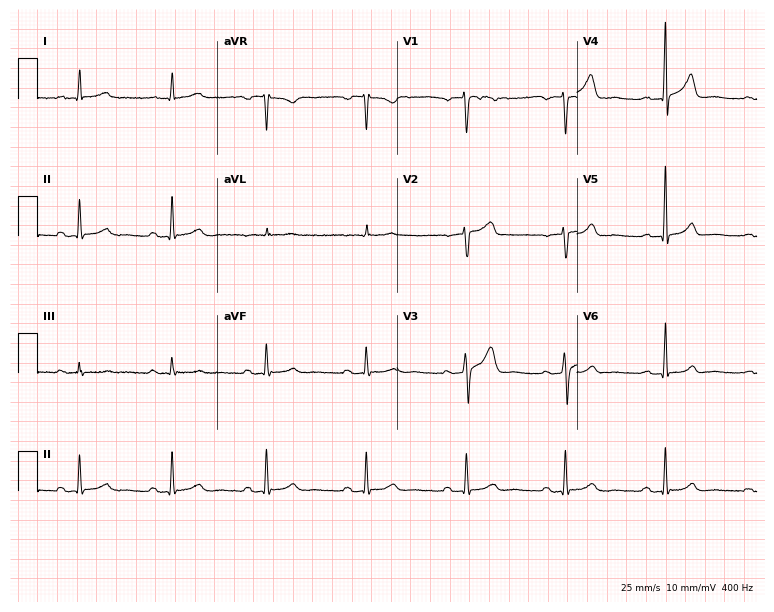
Standard 12-lead ECG recorded from an 85-year-old man. Read as a normal ECG.